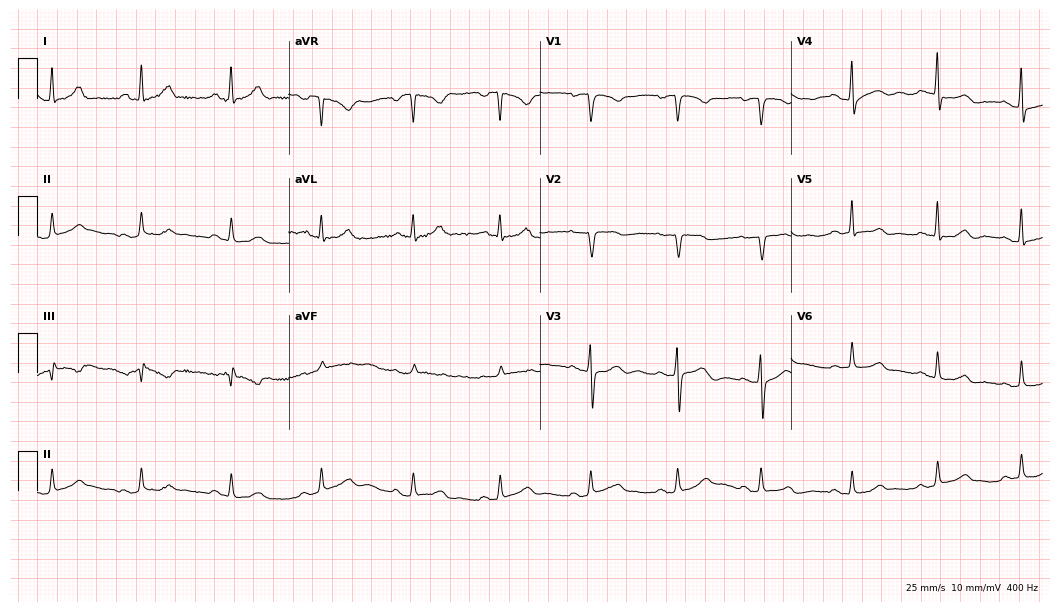
12-lead ECG from a female patient, 49 years old (10.2-second recording at 400 Hz). Recorded interpretation: within normal limits.